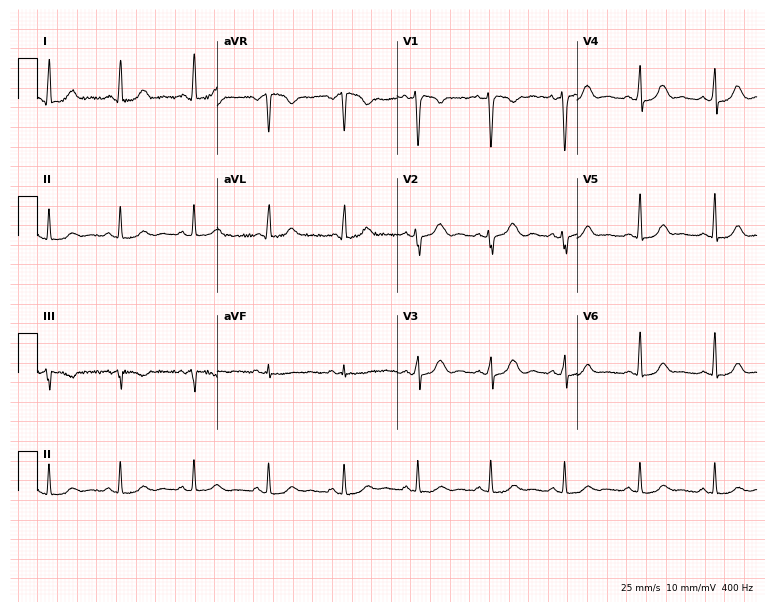
12-lead ECG from a woman, 41 years old (7.3-second recording at 400 Hz). No first-degree AV block, right bundle branch block, left bundle branch block, sinus bradycardia, atrial fibrillation or sinus tachycardia recorded for this tracing.